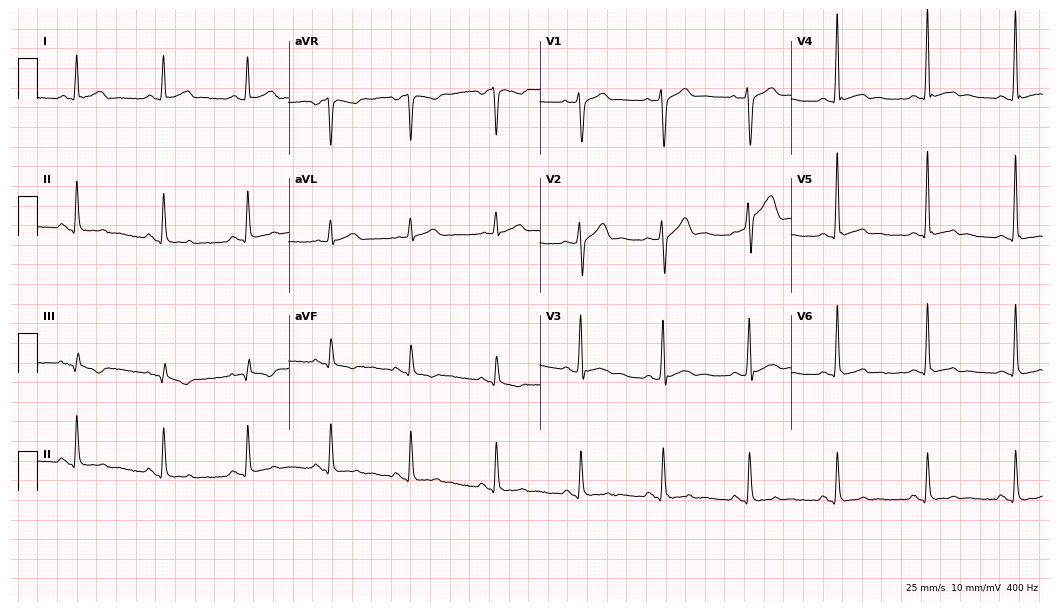
ECG (10.2-second recording at 400 Hz) — a 23-year-old male patient. Screened for six findings — first-degree AV block, right bundle branch block, left bundle branch block, sinus bradycardia, atrial fibrillation, sinus tachycardia — none is recorded. Only these six findings were labelled.